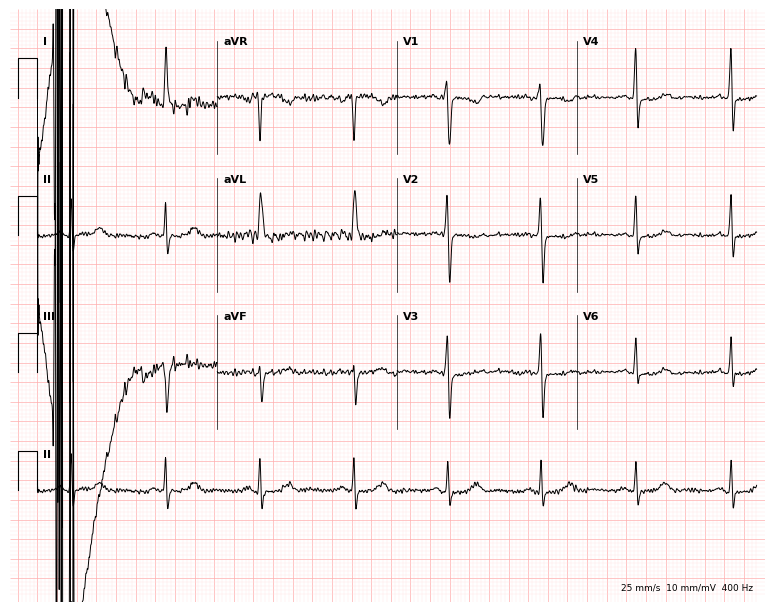
12-lead ECG from a 68-year-old female (7.3-second recording at 400 Hz). No first-degree AV block, right bundle branch block, left bundle branch block, sinus bradycardia, atrial fibrillation or sinus tachycardia recorded for this tracing. Other findings, if any, are not listed.